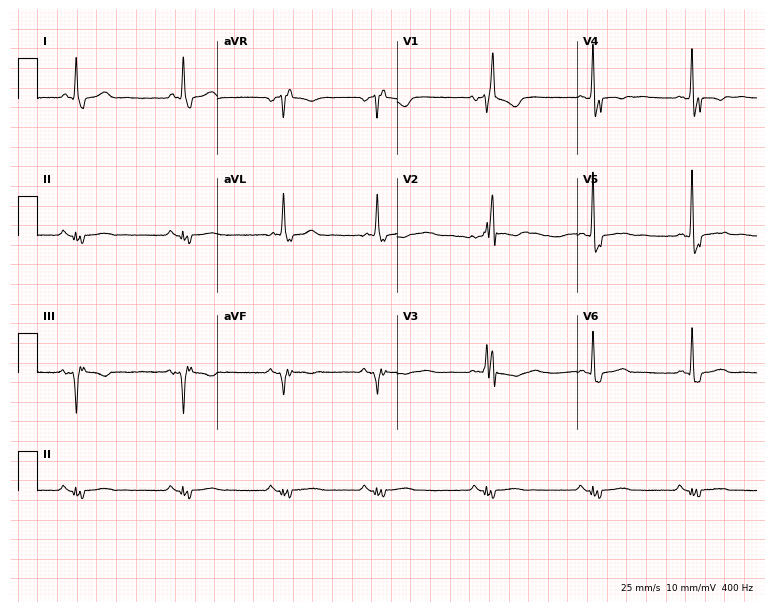
12-lead ECG (7.3-second recording at 400 Hz) from a male patient, 63 years old. Findings include right bundle branch block.